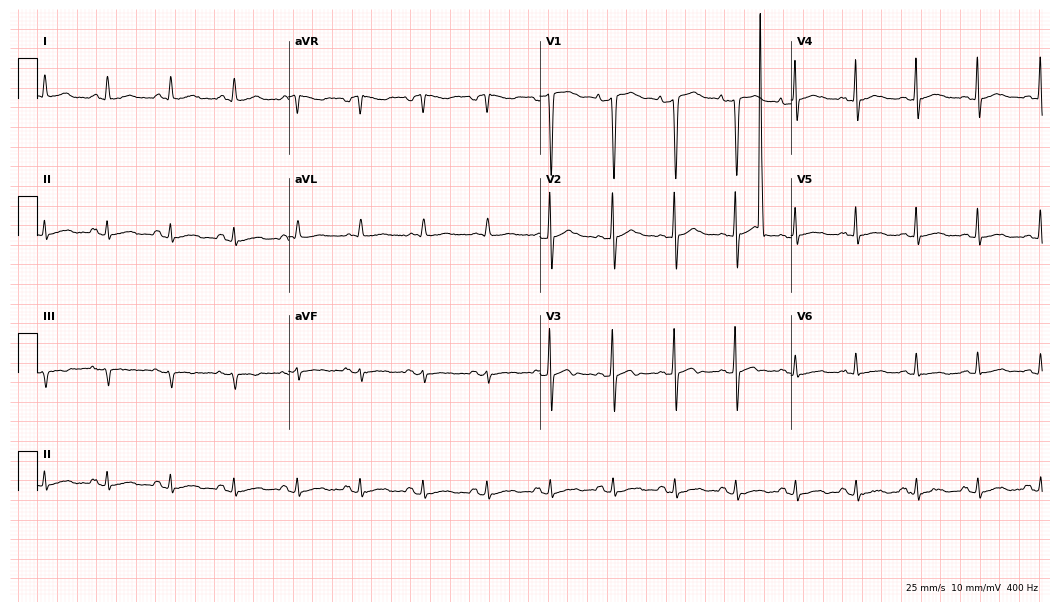
12-lead ECG from a 58-year-old man (10.2-second recording at 400 Hz). Recorded interpretation: within normal limits.